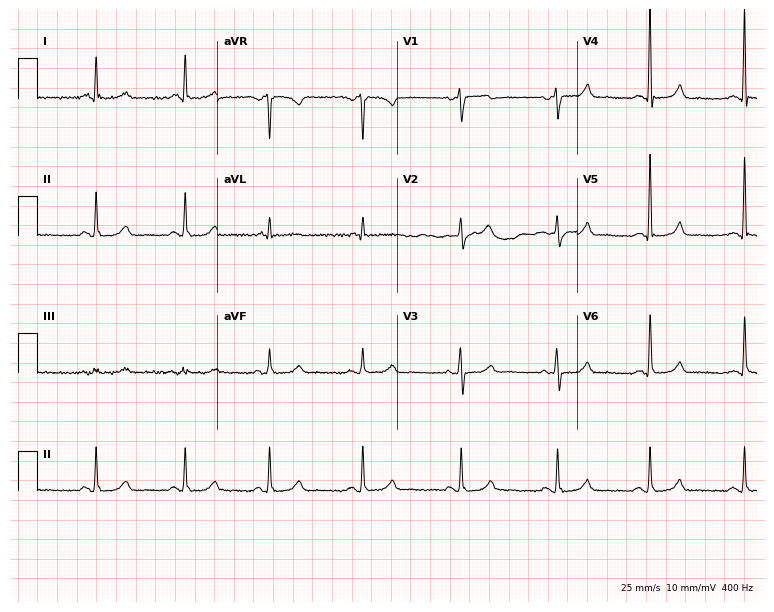
Standard 12-lead ECG recorded from a woman, 56 years old (7.3-second recording at 400 Hz). Read as a normal ECG.